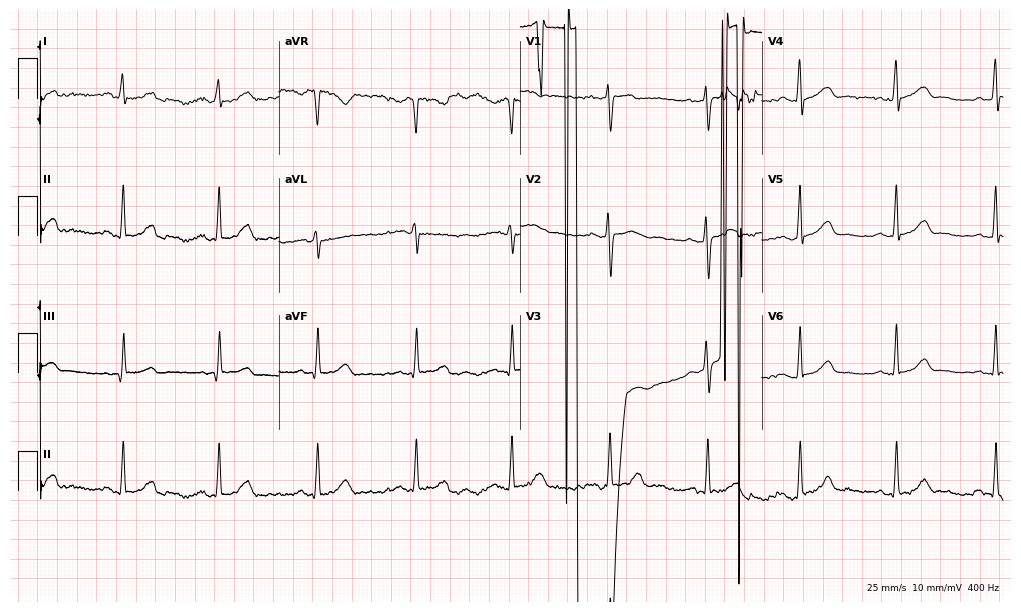
Electrocardiogram (9.8-second recording at 400 Hz), a woman, 30 years old. Of the six screened findings (first-degree AV block, right bundle branch block (RBBB), left bundle branch block (LBBB), sinus bradycardia, atrial fibrillation (AF), sinus tachycardia), none is recorded.